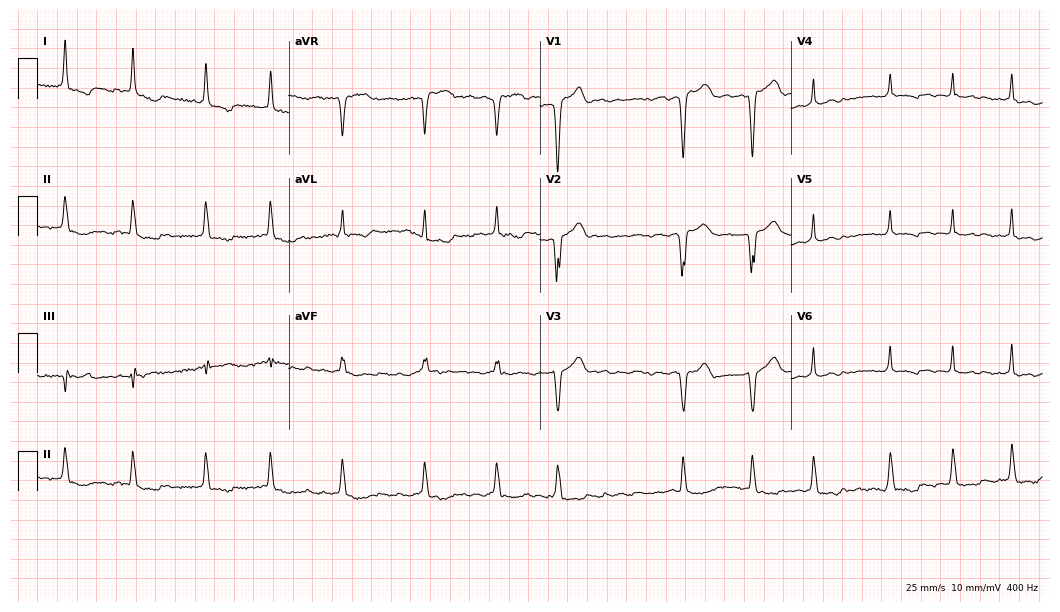
12-lead ECG from a male patient, 70 years old. Findings include atrial fibrillation (AF).